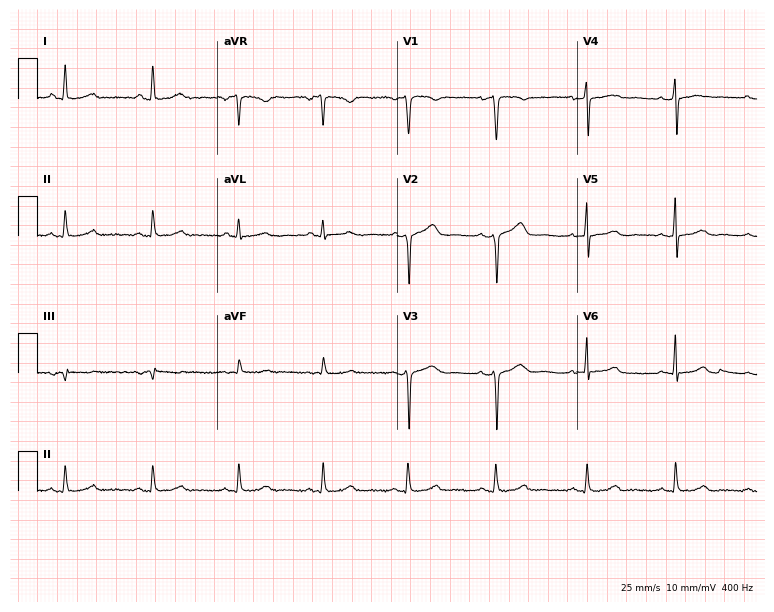
ECG — a woman, 39 years old. Screened for six findings — first-degree AV block, right bundle branch block, left bundle branch block, sinus bradycardia, atrial fibrillation, sinus tachycardia — none is recorded.